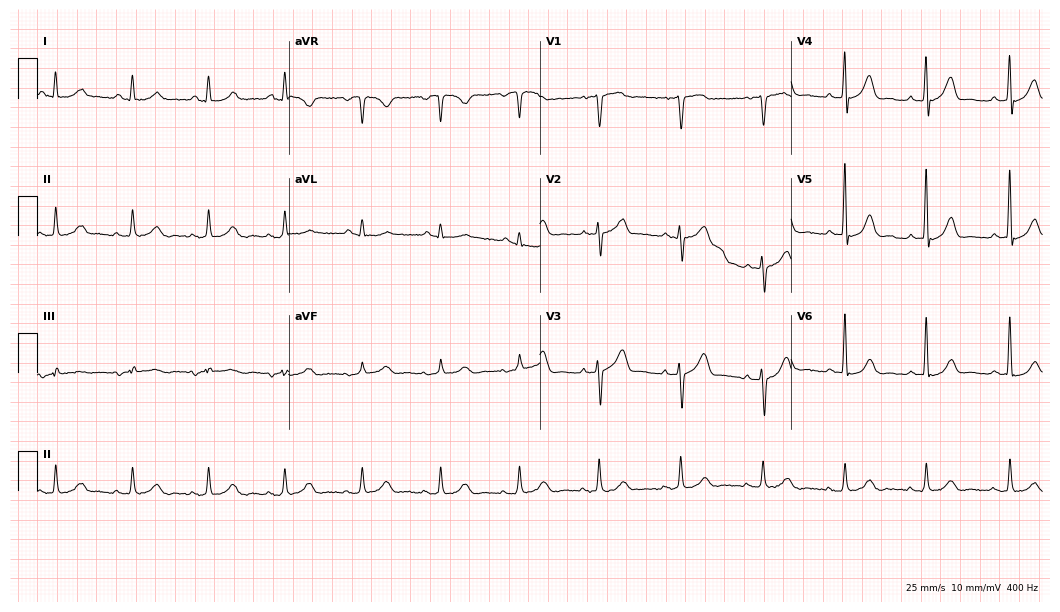
12-lead ECG from a 70-year-old male. Recorded interpretation: within normal limits.